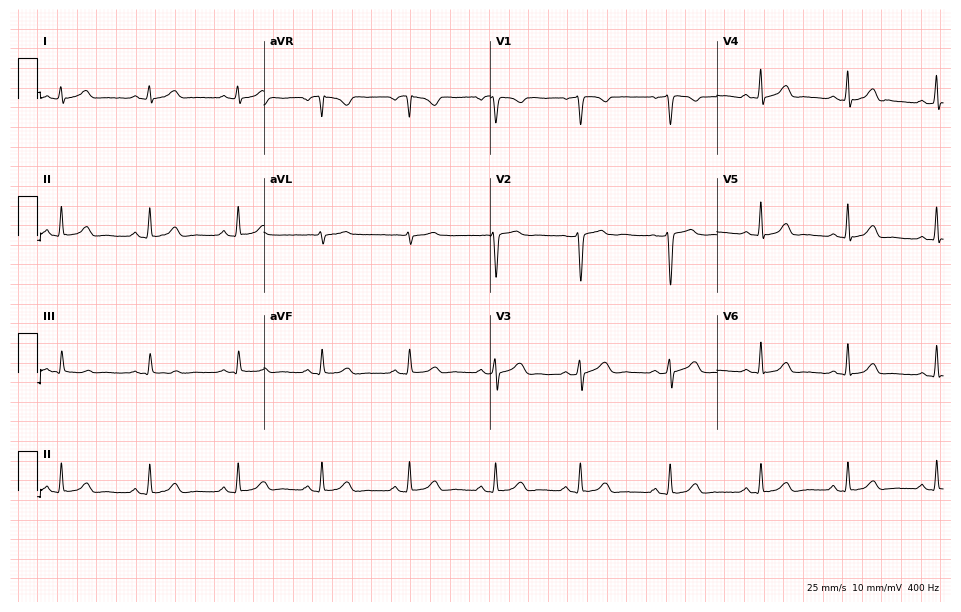
Electrocardiogram, a 39-year-old woman. Overall reading on record: normal ECG.